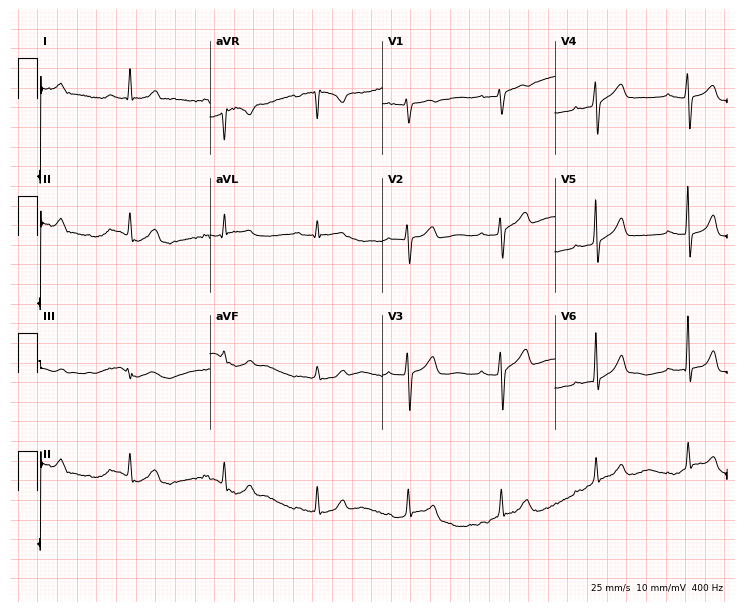
Electrocardiogram, a 52-year-old female. Of the six screened findings (first-degree AV block, right bundle branch block, left bundle branch block, sinus bradycardia, atrial fibrillation, sinus tachycardia), none is recorded. Only these six findings were labelled.